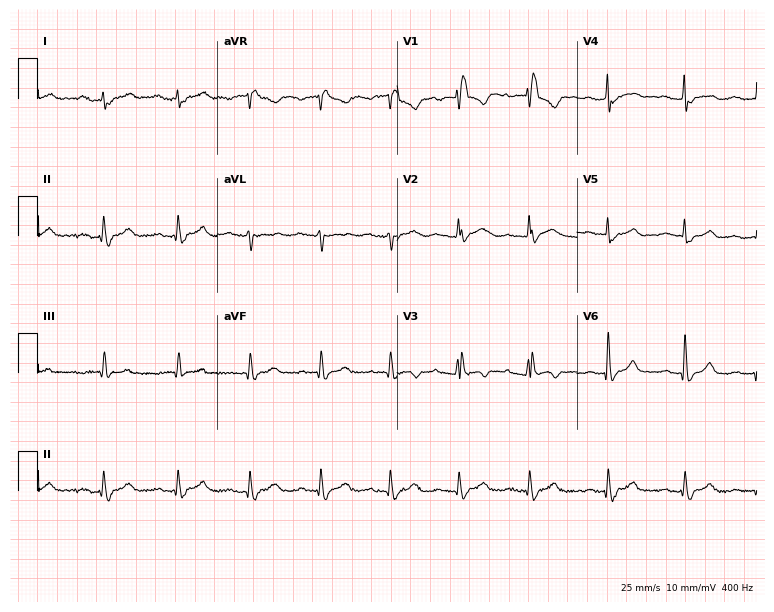
Standard 12-lead ECG recorded from a 72-year-old female patient (7.3-second recording at 400 Hz). The tracing shows first-degree AV block, right bundle branch block.